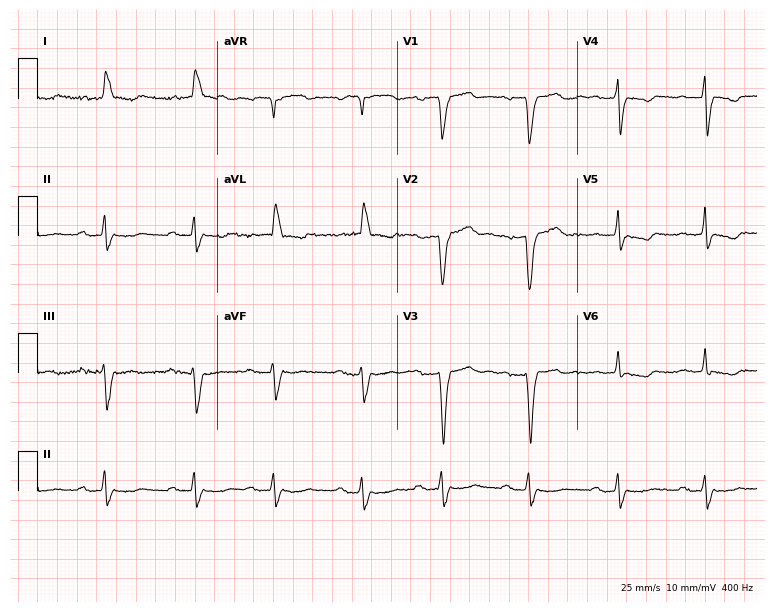
Standard 12-lead ECG recorded from a male, 72 years old. None of these six findings is recorded: first-degree AV block, right bundle branch block (RBBB), left bundle branch block (LBBB), sinus bradycardia, atrial fibrillation (AF), sinus tachycardia.